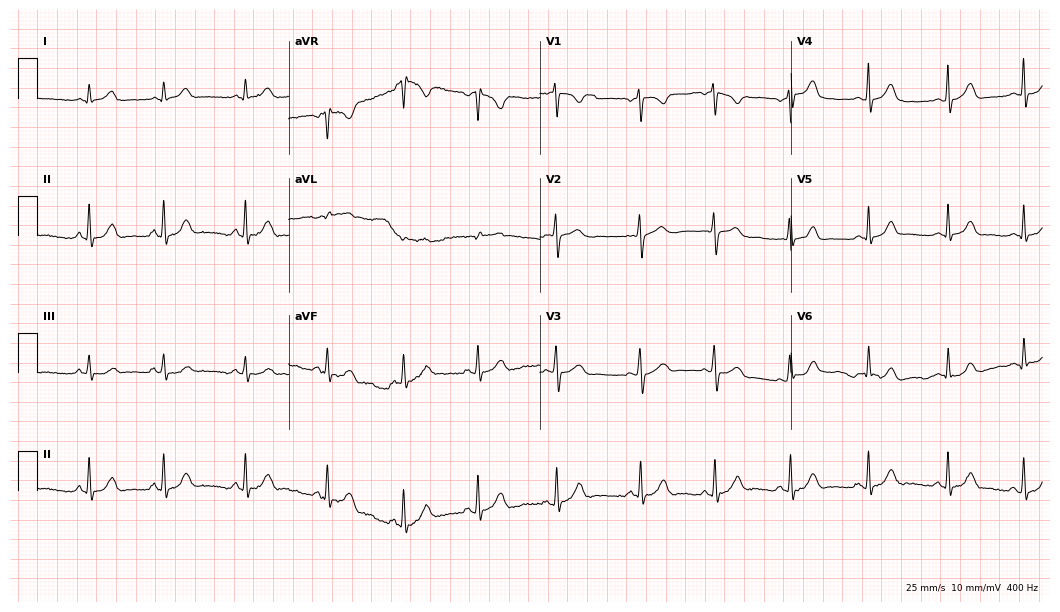
ECG (10.2-second recording at 400 Hz) — a 23-year-old woman. Screened for six findings — first-degree AV block, right bundle branch block, left bundle branch block, sinus bradycardia, atrial fibrillation, sinus tachycardia — none is recorded. Other findings, if any, are not listed.